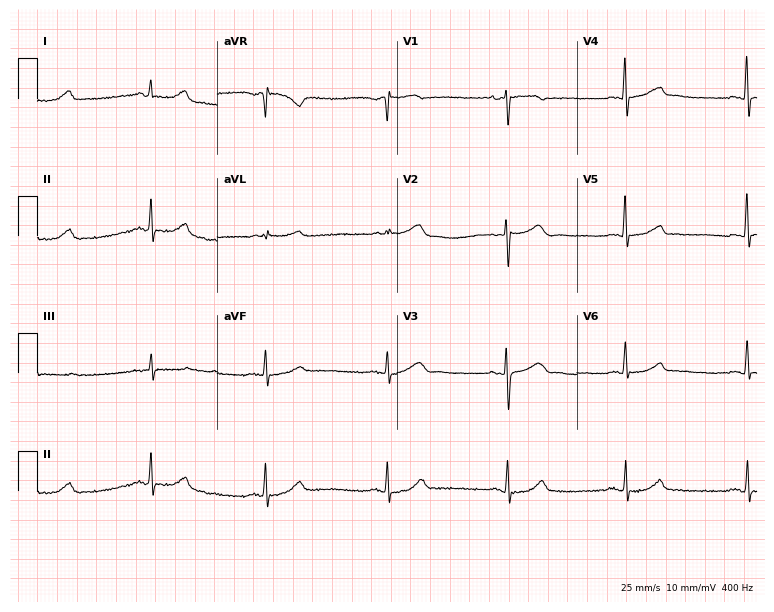
Standard 12-lead ECG recorded from a 64-year-old woman (7.3-second recording at 400 Hz). The tracing shows sinus bradycardia (a sinus rate of 50 beats per minute or less).